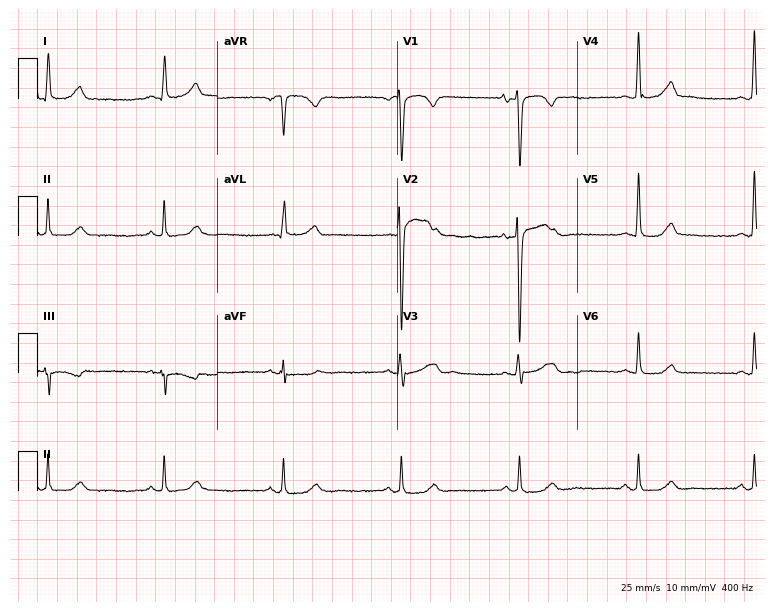
ECG — a 61-year-old male. Labelled as a normal ECG.